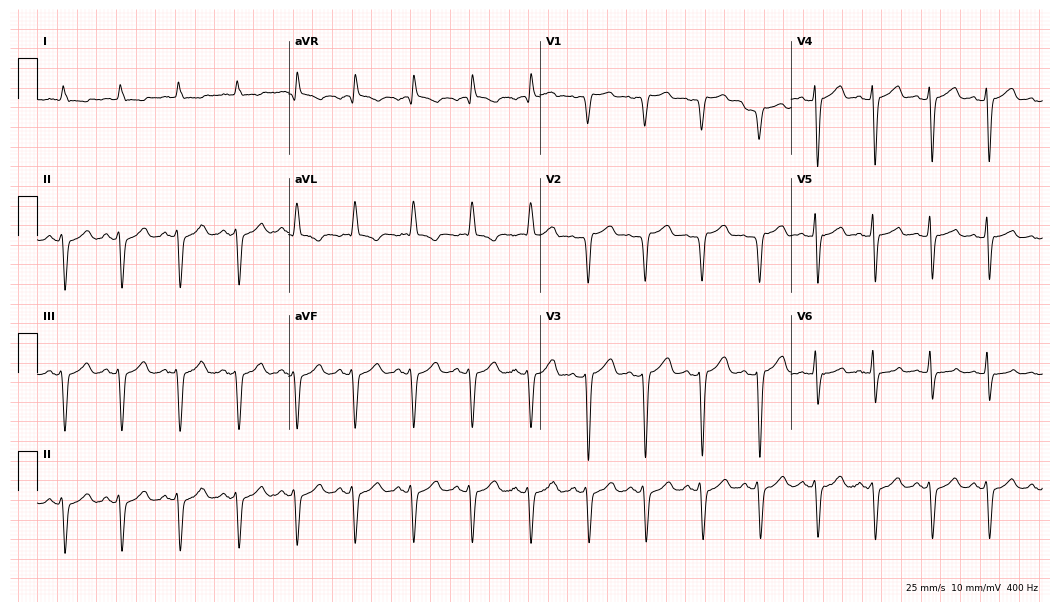
12-lead ECG from a man, 82 years old. Screened for six findings — first-degree AV block, right bundle branch block (RBBB), left bundle branch block (LBBB), sinus bradycardia, atrial fibrillation (AF), sinus tachycardia — none is recorded.